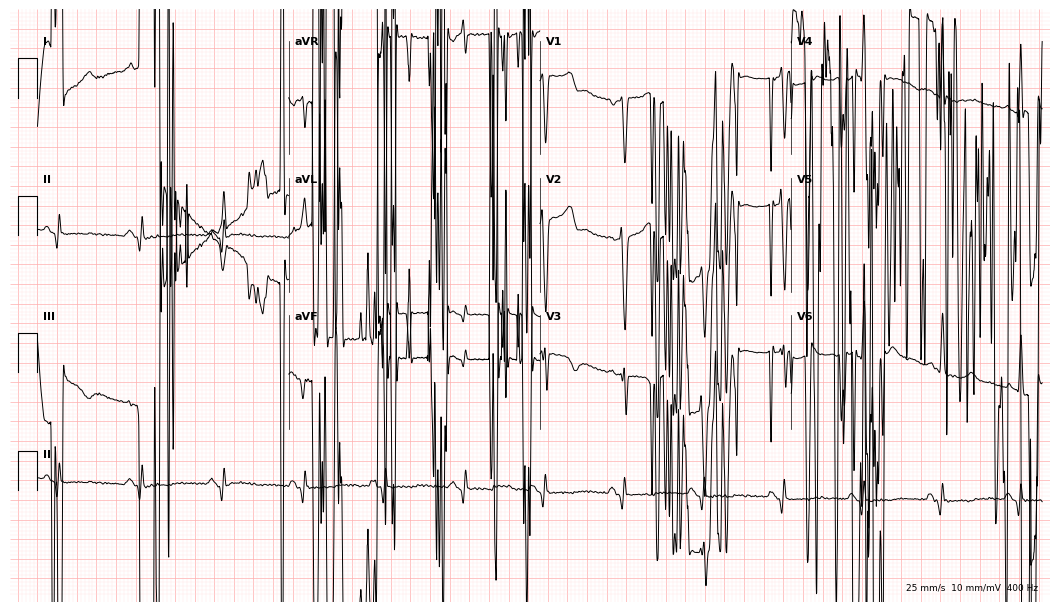
Resting 12-lead electrocardiogram (10.2-second recording at 400 Hz). Patient: a 50-year-old male. None of these six findings is recorded: first-degree AV block, right bundle branch block, left bundle branch block, sinus bradycardia, atrial fibrillation, sinus tachycardia.